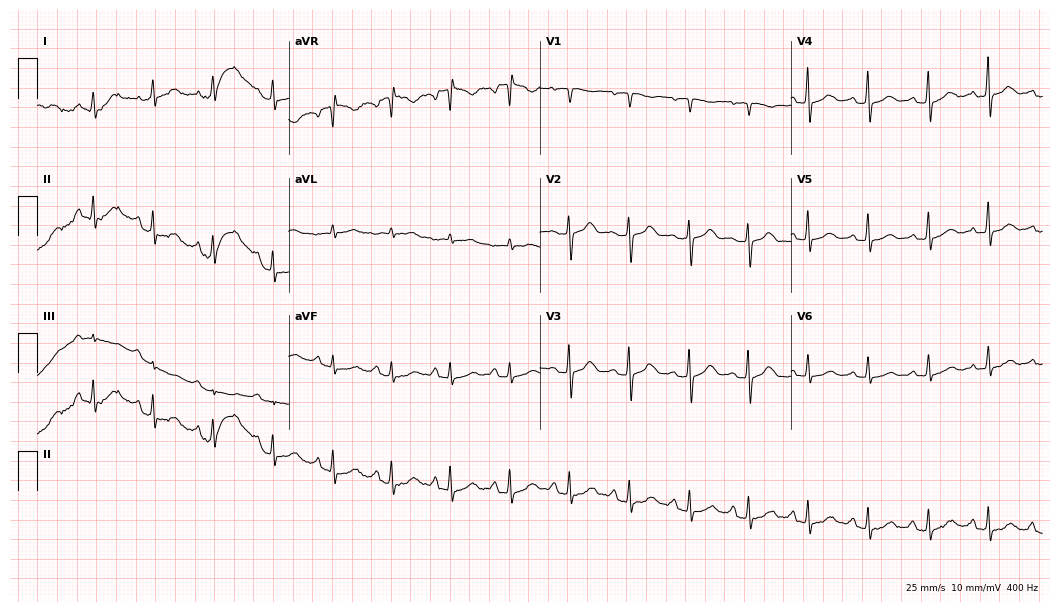
Electrocardiogram (10.2-second recording at 400 Hz), a 51-year-old female patient. Overall reading on record: normal ECG.